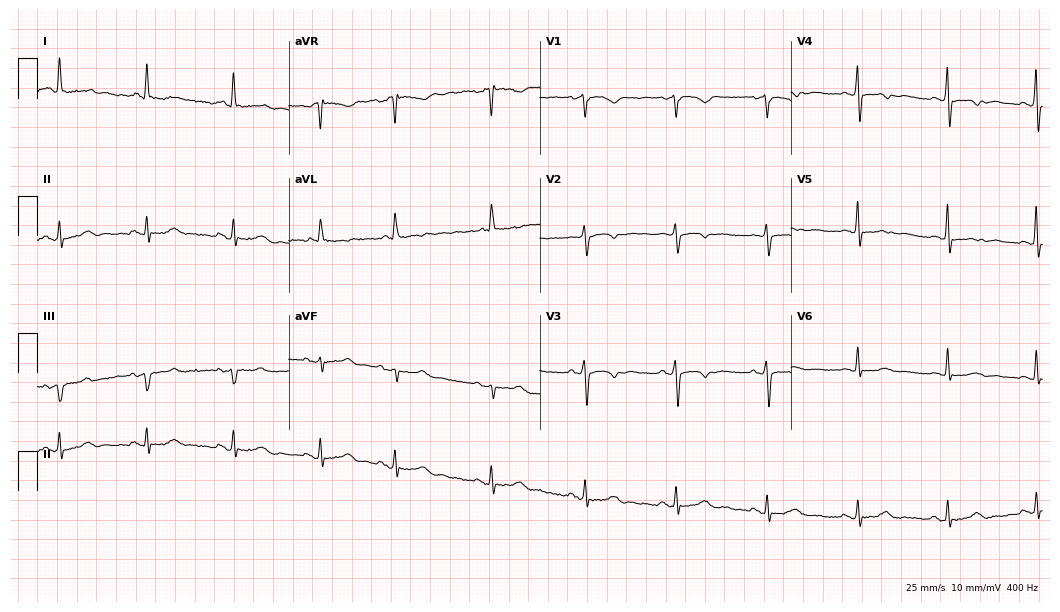
Electrocardiogram, a 77-year-old female patient. Of the six screened findings (first-degree AV block, right bundle branch block, left bundle branch block, sinus bradycardia, atrial fibrillation, sinus tachycardia), none is recorded.